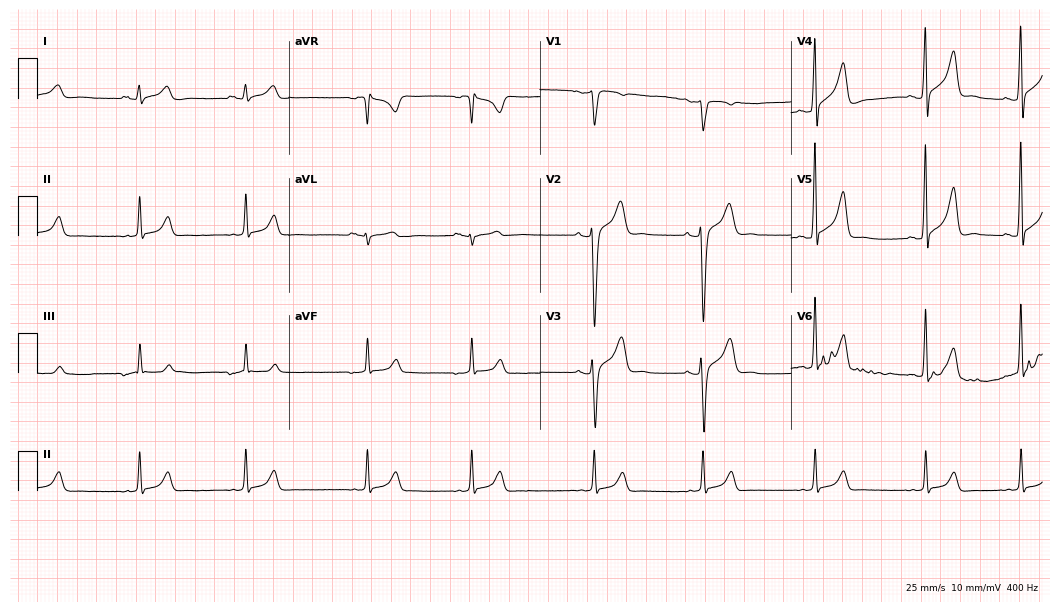
Standard 12-lead ECG recorded from a 21-year-old man (10.2-second recording at 400 Hz). Read as a normal ECG.